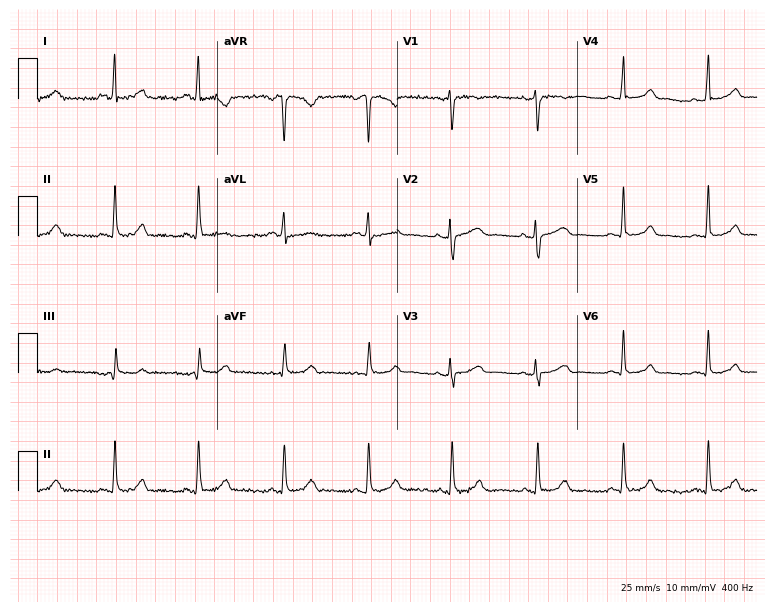
12-lead ECG from a 41-year-old woman. Labelled as a normal ECG.